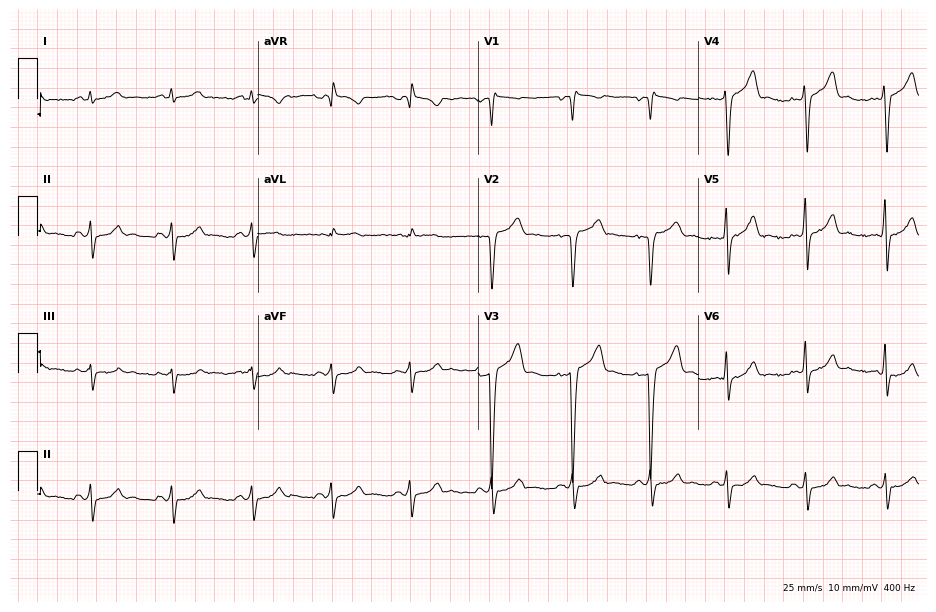
Resting 12-lead electrocardiogram. Patient: a 48-year-old male. None of these six findings is recorded: first-degree AV block, right bundle branch block (RBBB), left bundle branch block (LBBB), sinus bradycardia, atrial fibrillation (AF), sinus tachycardia. Other findings, if any, are not listed.